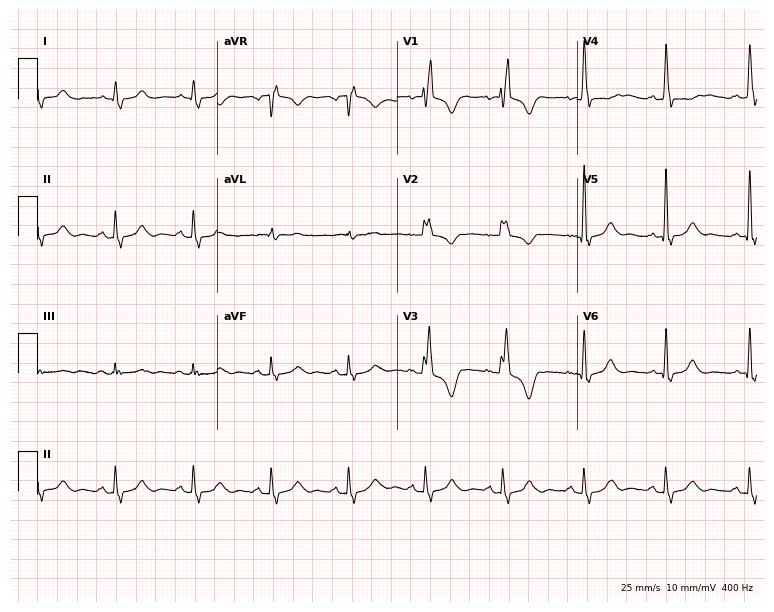
12-lead ECG from a 62-year-old female. Findings include right bundle branch block.